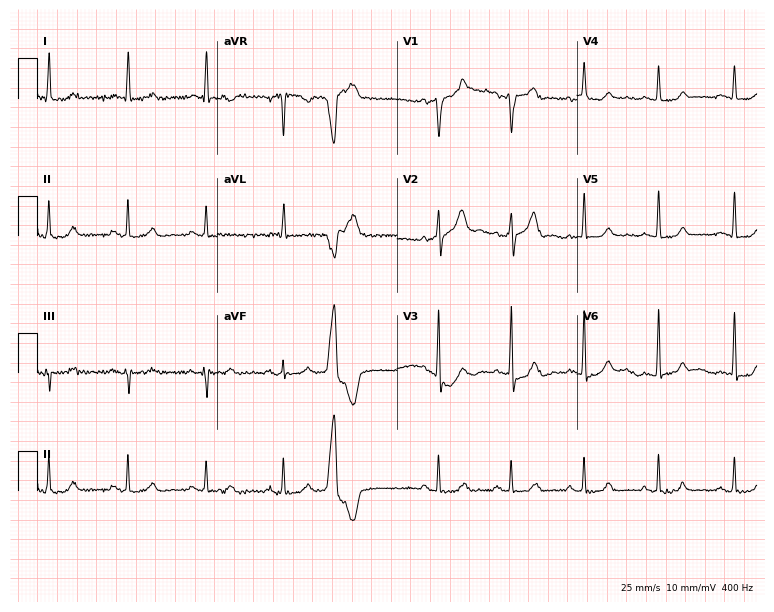
12-lead ECG (7.3-second recording at 400 Hz) from a male, 65 years old. Labelled as a normal ECG.